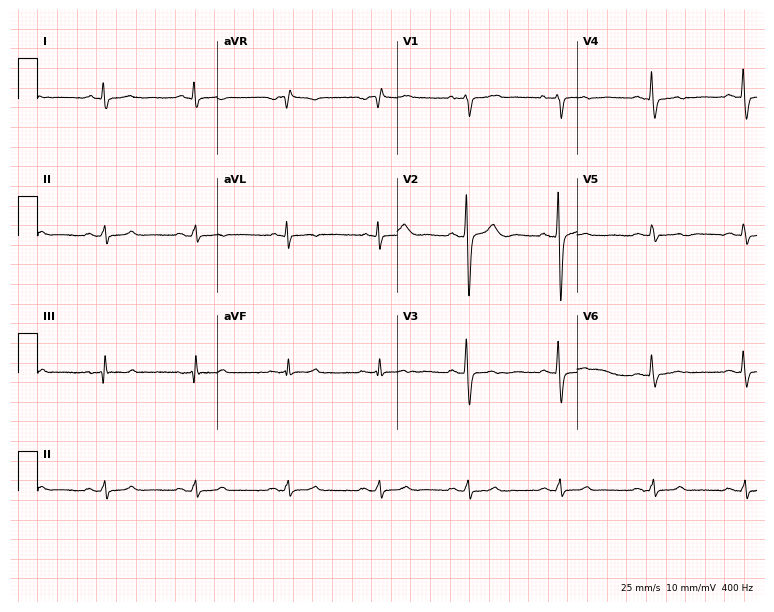
Resting 12-lead electrocardiogram. Patient: a 53-year-old male. Read as a normal ECG.